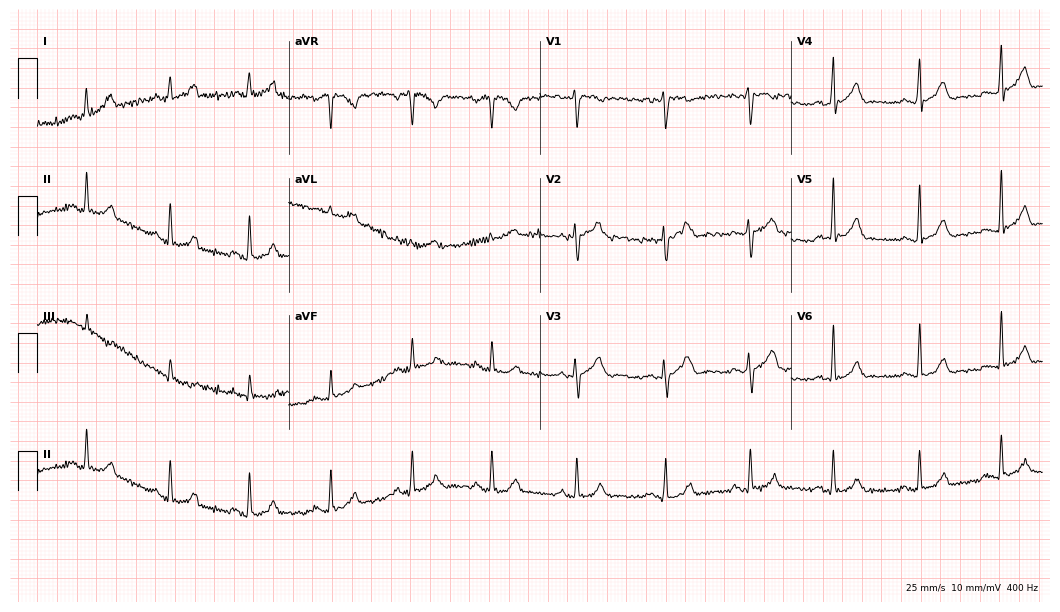
ECG — a woman, 38 years old. Labelled as a normal ECG.